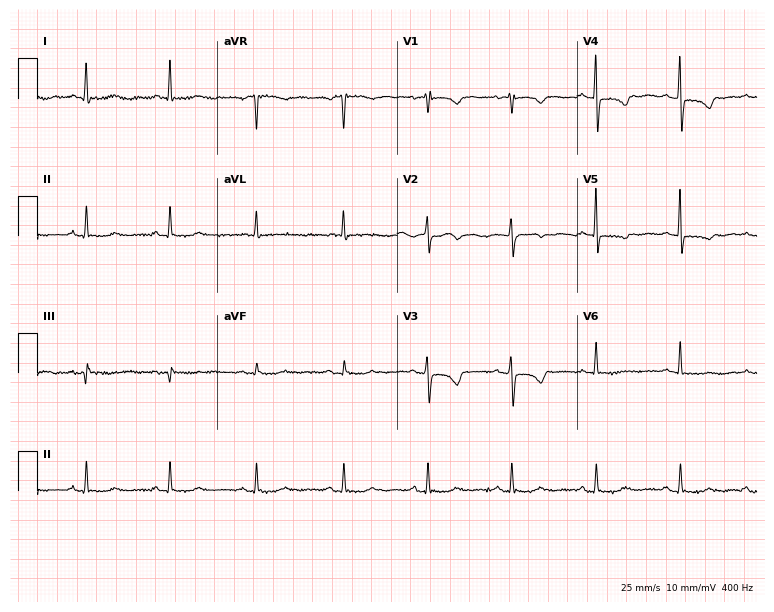
Resting 12-lead electrocardiogram. Patient: a female, 69 years old. None of these six findings is recorded: first-degree AV block, right bundle branch block, left bundle branch block, sinus bradycardia, atrial fibrillation, sinus tachycardia.